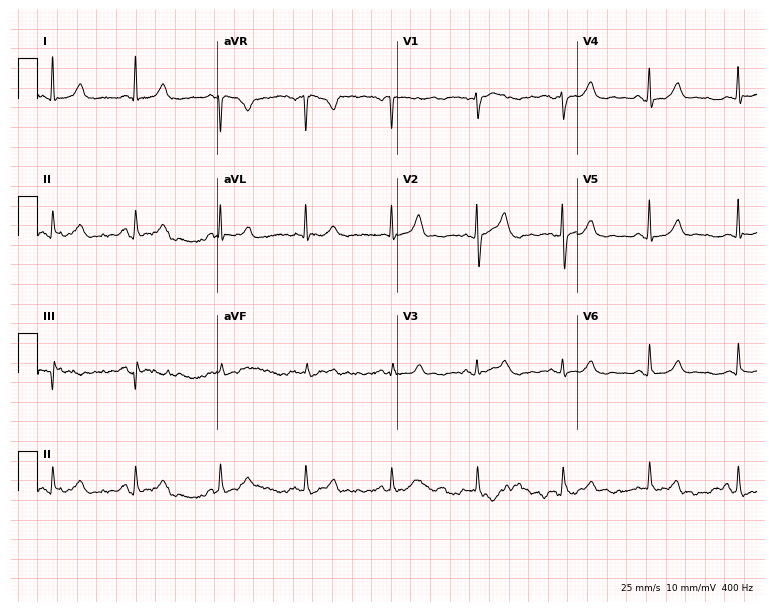
12-lead ECG from a 66-year-old female. Recorded interpretation: within normal limits.